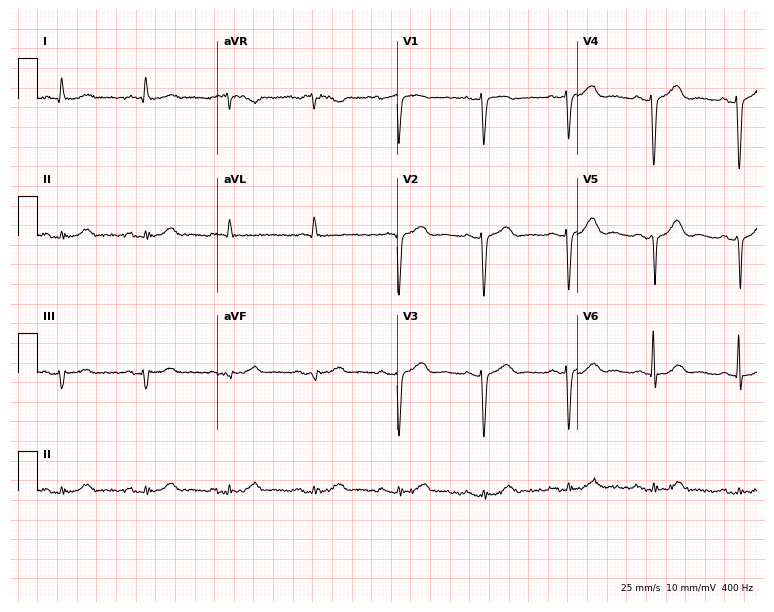
Resting 12-lead electrocardiogram (7.3-second recording at 400 Hz). Patient: an 82-year-old male. None of these six findings is recorded: first-degree AV block, right bundle branch block, left bundle branch block, sinus bradycardia, atrial fibrillation, sinus tachycardia.